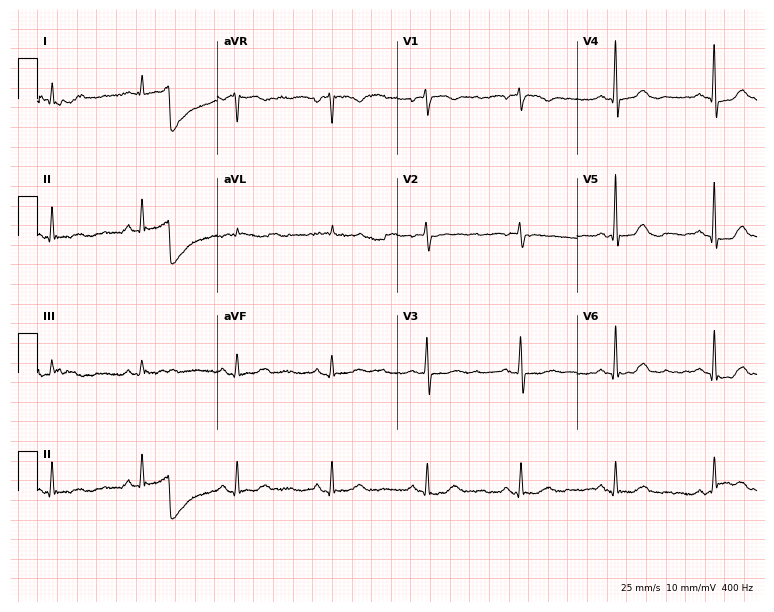
12-lead ECG from a female patient, 73 years old (7.3-second recording at 400 Hz). No first-degree AV block, right bundle branch block (RBBB), left bundle branch block (LBBB), sinus bradycardia, atrial fibrillation (AF) or sinus tachycardia recorded for this tracing. Other findings, if any, are not listed.